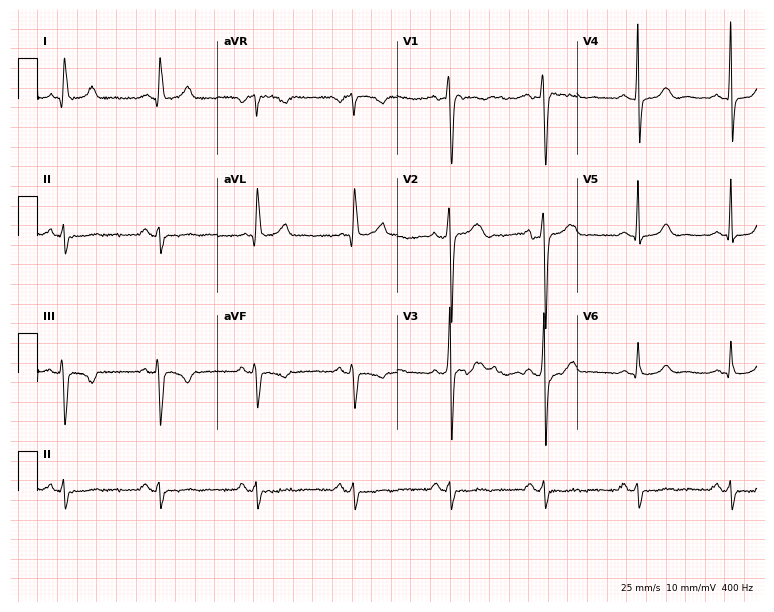
ECG (7.3-second recording at 400 Hz) — a male, 46 years old. Screened for six findings — first-degree AV block, right bundle branch block, left bundle branch block, sinus bradycardia, atrial fibrillation, sinus tachycardia — none is recorded.